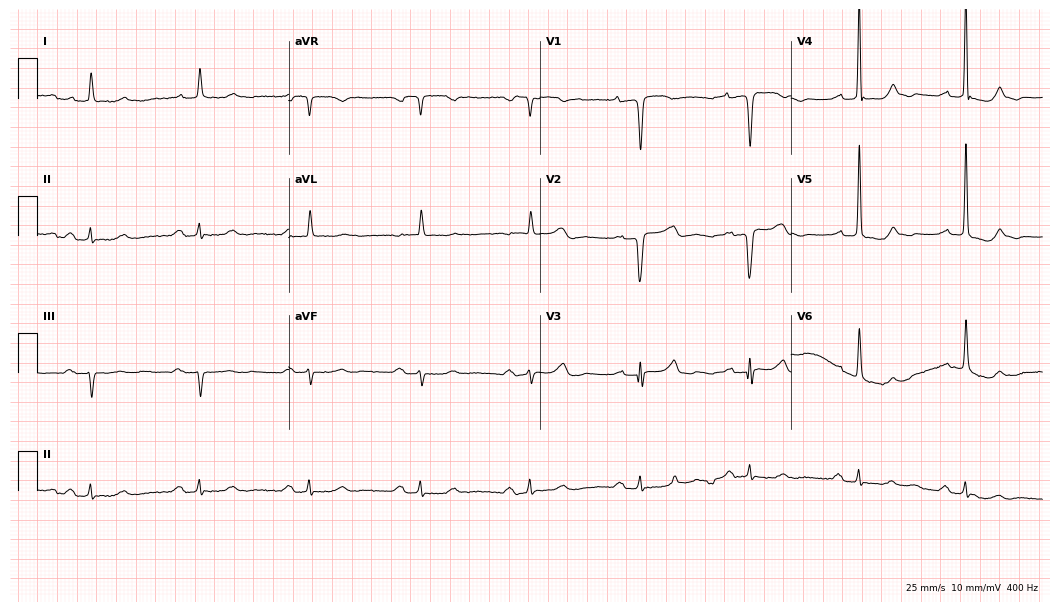
ECG (10.2-second recording at 400 Hz) — a 71-year-old female patient. Findings include first-degree AV block.